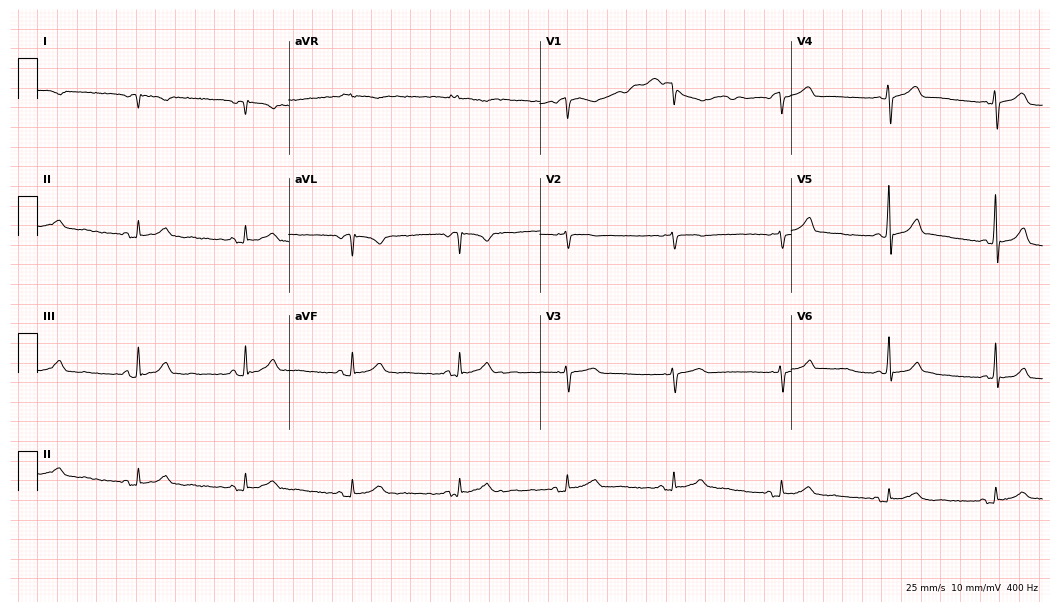
Resting 12-lead electrocardiogram (10.2-second recording at 400 Hz). Patient: a 71-year-old man. None of these six findings is recorded: first-degree AV block, right bundle branch block, left bundle branch block, sinus bradycardia, atrial fibrillation, sinus tachycardia.